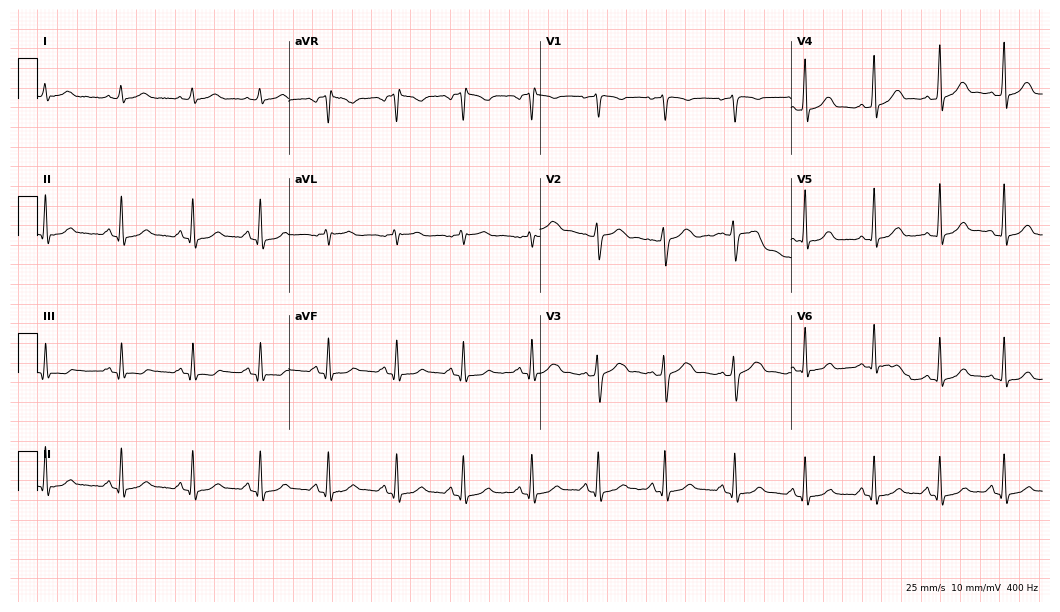
12-lead ECG (10.2-second recording at 400 Hz) from a 39-year-old female patient. Labelled as a normal ECG.